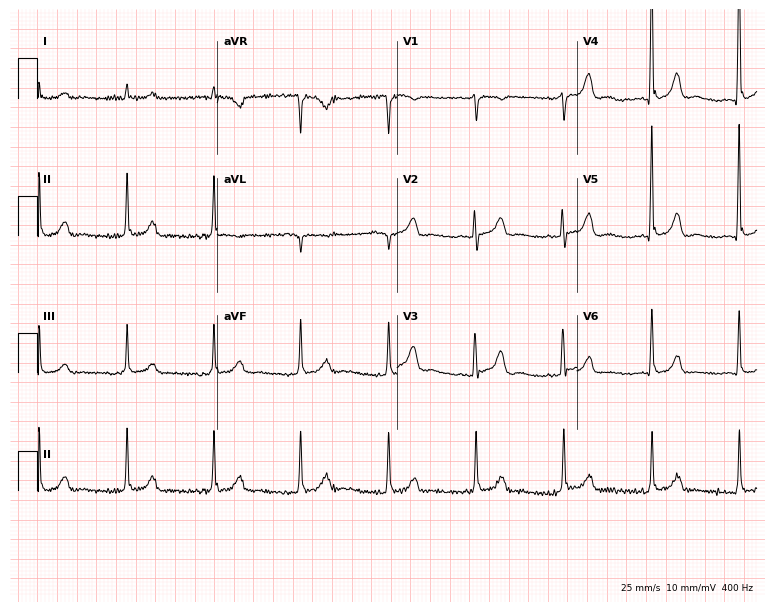
Electrocardiogram (7.3-second recording at 400 Hz), an 81-year-old woman. Overall reading on record: normal ECG.